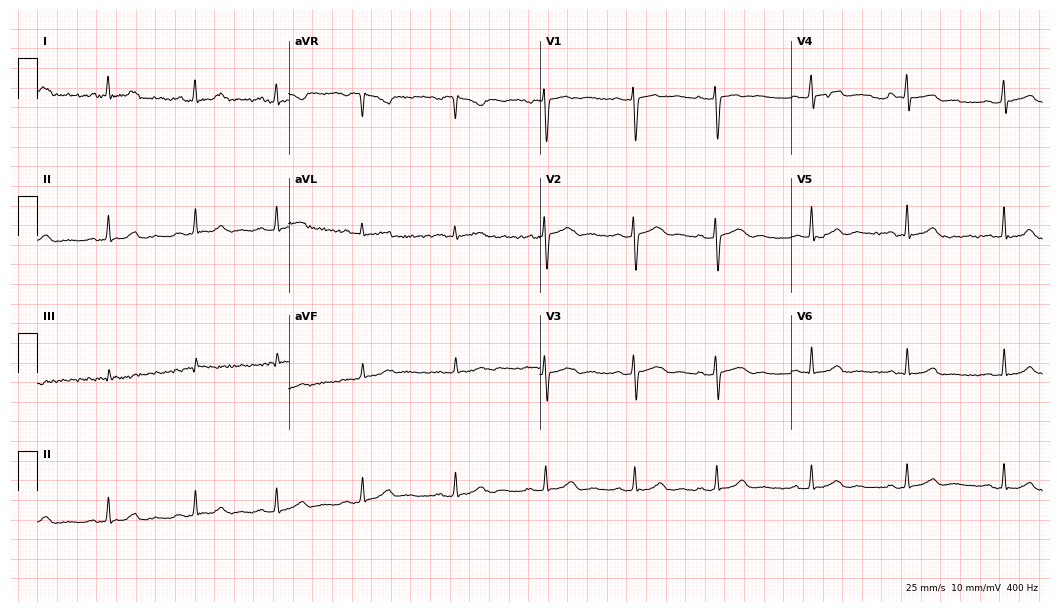
12-lead ECG (10.2-second recording at 400 Hz) from a woman, 34 years old. Screened for six findings — first-degree AV block, right bundle branch block (RBBB), left bundle branch block (LBBB), sinus bradycardia, atrial fibrillation (AF), sinus tachycardia — none is recorded. Only these six findings were labelled.